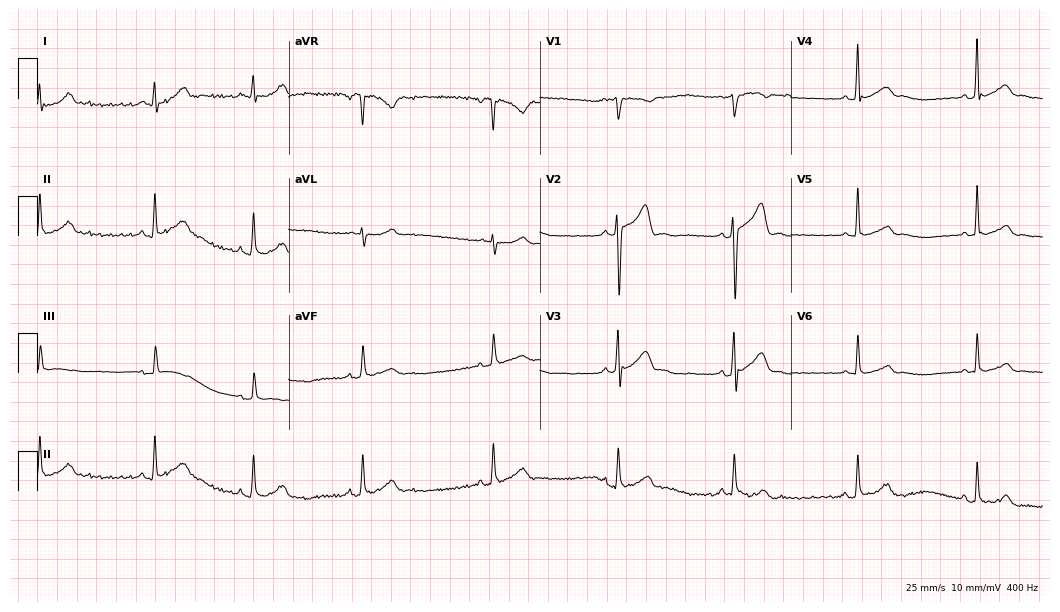
Standard 12-lead ECG recorded from a 36-year-old male patient. Read as a normal ECG.